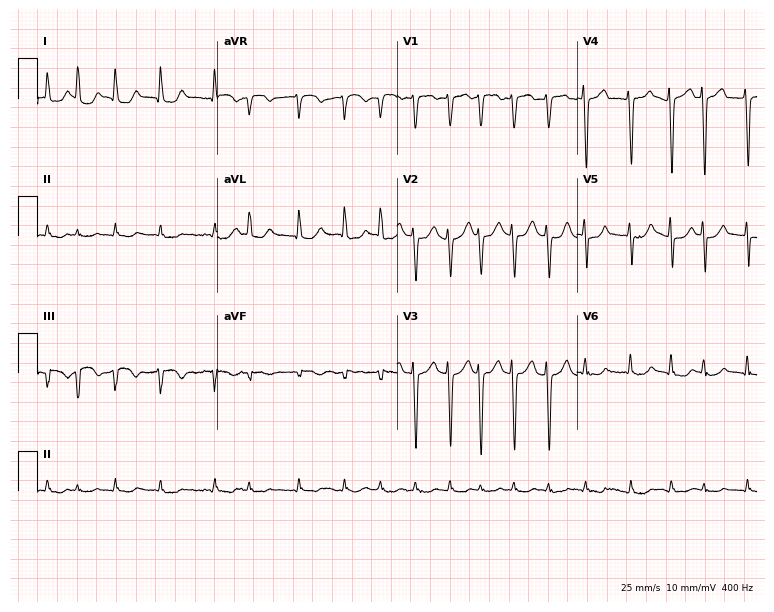
12-lead ECG from a female patient, 84 years old (7.3-second recording at 400 Hz). Shows atrial fibrillation.